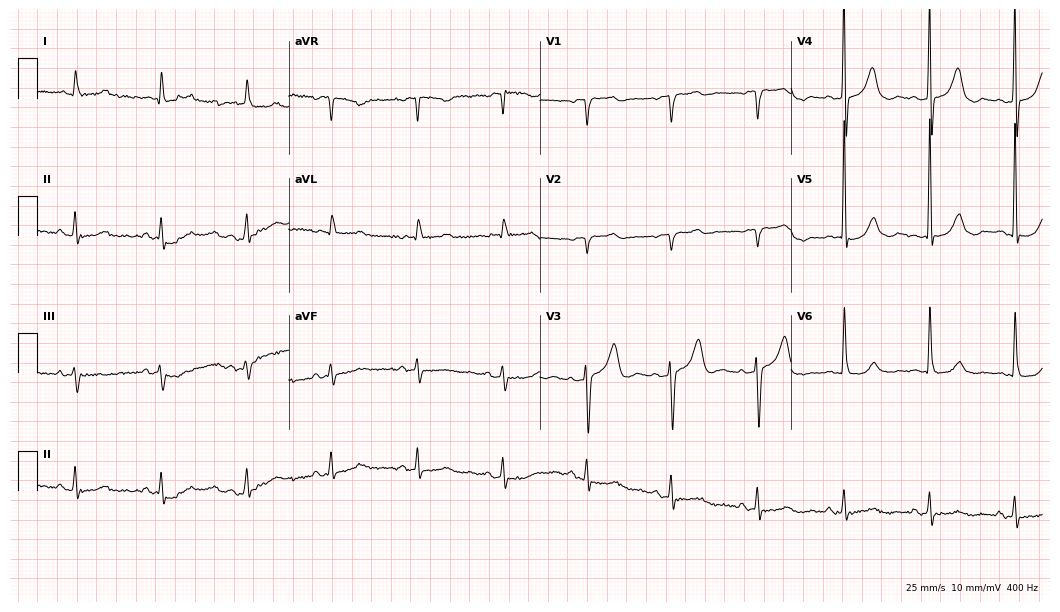
Electrocardiogram, a man, 84 years old. Of the six screened findings (first-degree AV block, right bundle branch block (RBBB), left bundle branch block (LBBB), sinus bradycardia, atrial fibrillation (AF), sinus tachycardia), none is recorded.